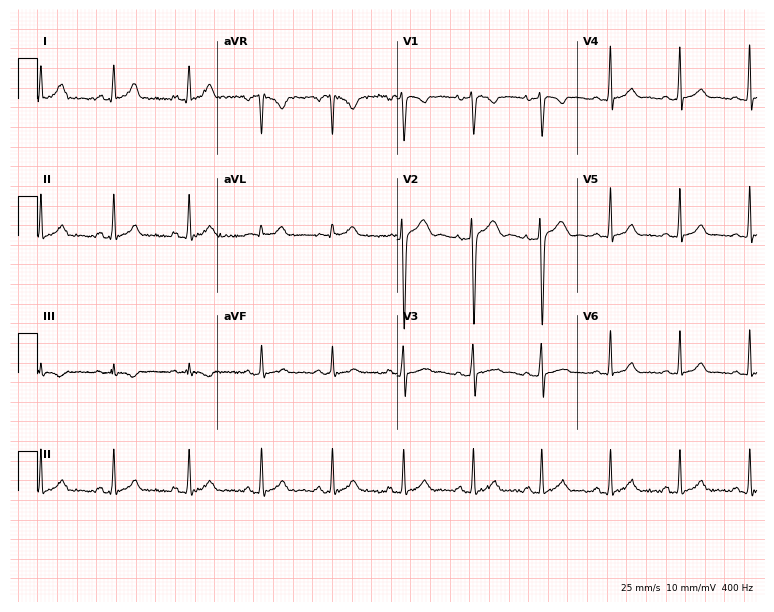
12-lead ECG (7.3-second recording at 400 Hz) from a 27-year-old female. Labelled as a normal ECG.